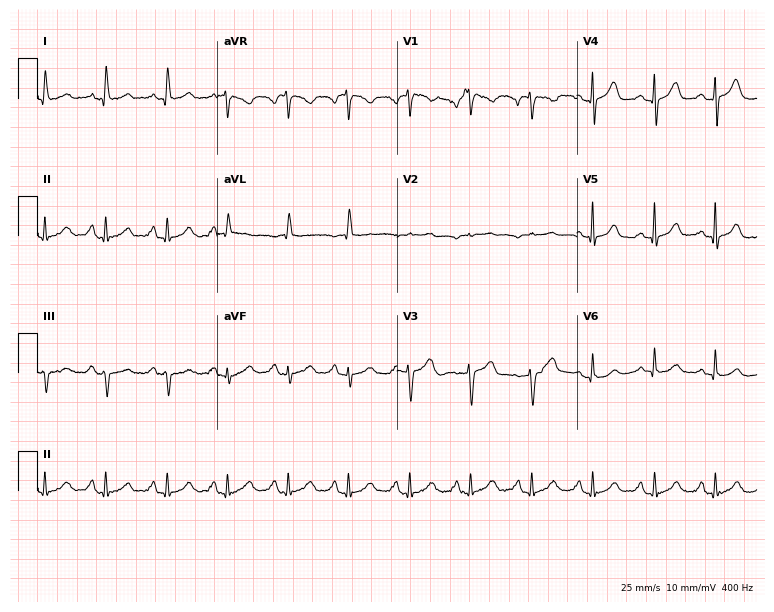
12-lead ECG from a female patient, 73 years old. Labelled as a normal ECG.